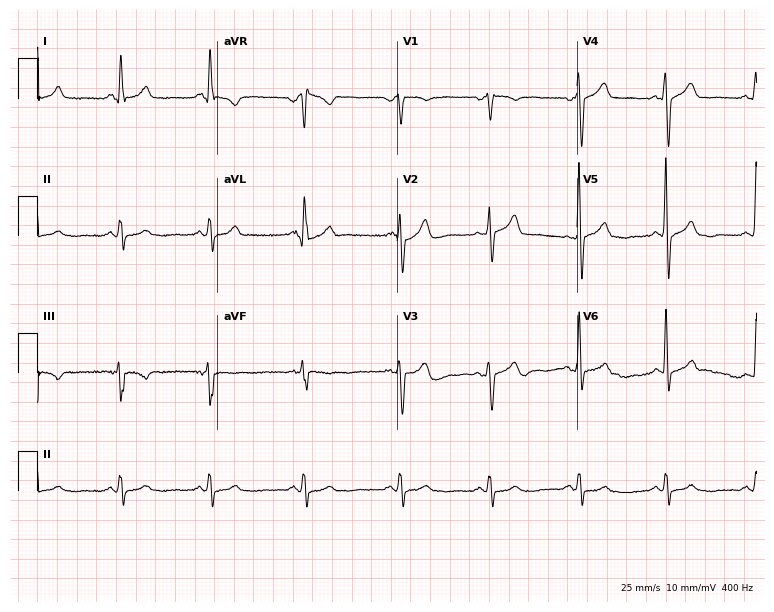
ECG (7.3-second recording at 400 Hz) — a 70-year-old female patient. Screened for six findings — first-degree AV block, right bundle branch block (RBBB), left bundle branch block (LBBB), sinus bradycardia, atrial fibrillation (AF), sinus tachycardia — none is recorded. Findings outside these six are not listed.